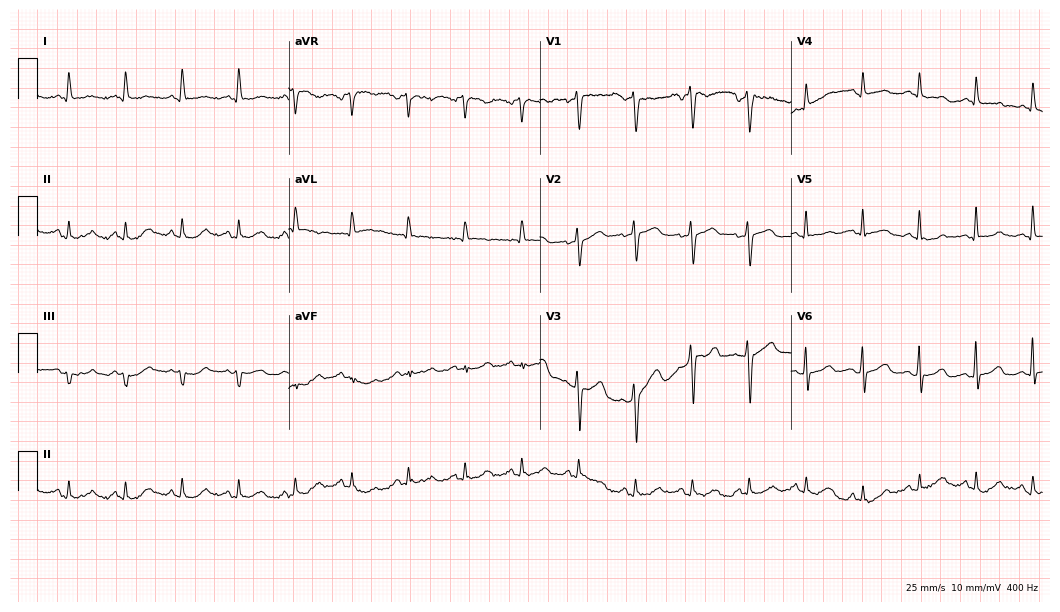
Resting 12-lead electrocardiogram (10.2-second recording at 400 Hz). Patient: a female, 57 years old. The tracing shows sinus tachycardia (a sinus rate of 100 beats per minute or more).